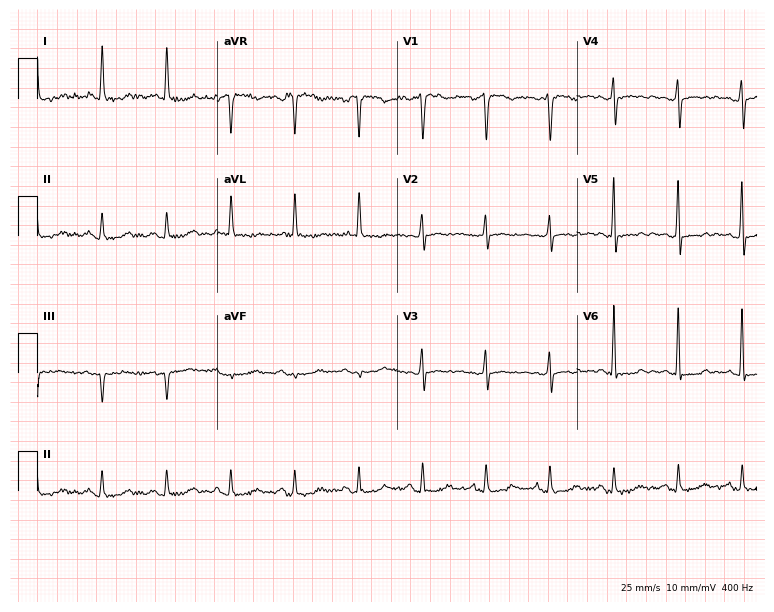
ECG (7.3-second recording at 400 Hz) — a female patient, 69 years old. Screened for six findings — first-degree AV block, right bundle branch block (RBBB), left bundle branch block (LBBB), sinus bradycardia, atrial fibrillation (AF), sinus tachycardia — none is recorded.